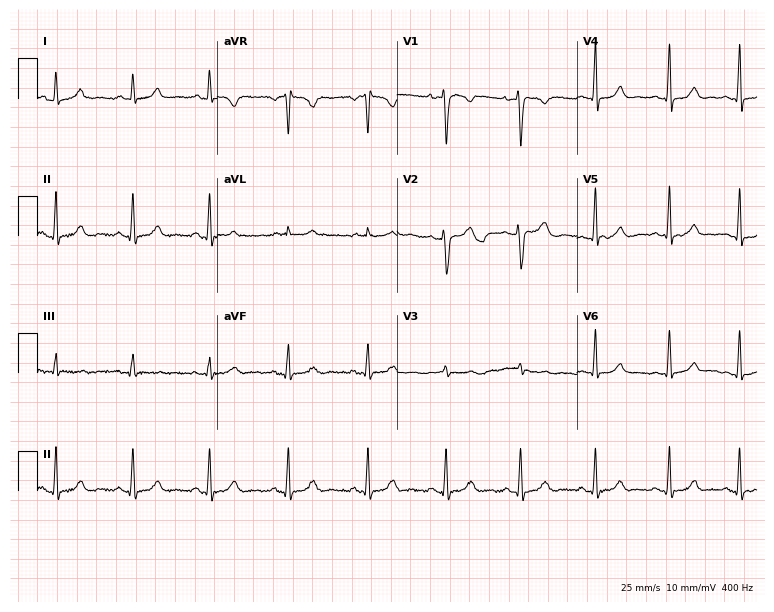
12-lead ECG from a 26-year-old female (7.3-second recording at 400 Hz). Recorded interpretation: within normal limits.